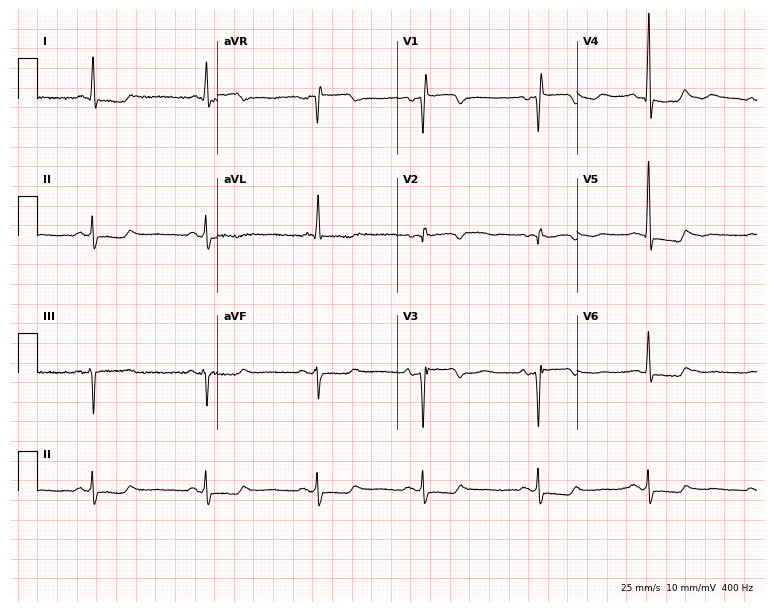
Electrocardiogram (7.3-second recording at 400 Hz), an 84-year-old woman. Of the six screened findings (first-degree AV block, right bundle branch block, left bundle branch block, sinus bradycardia, atrial fibrillation, sinus tachycardia), none is recorded.